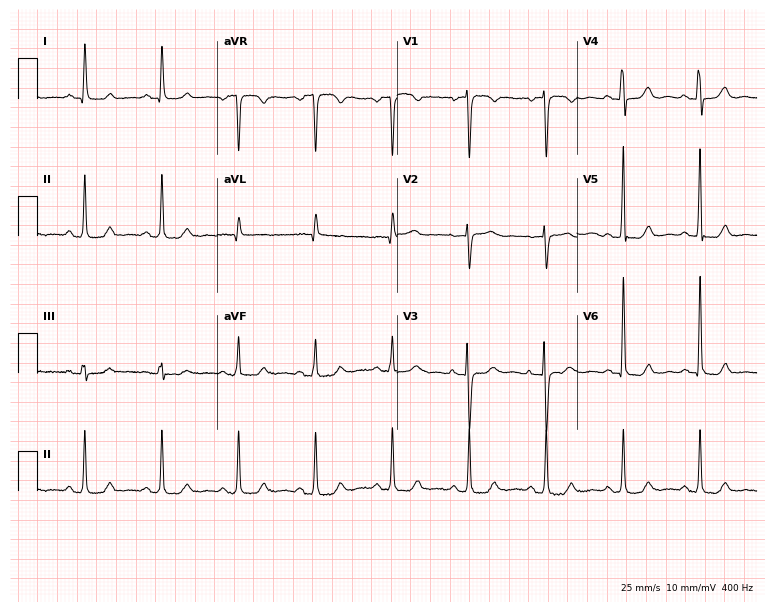
Standard 12-lead ECG recorded from a female, 63 years old (7.3-second recording at 400 Hz). Read as a normal ECG.